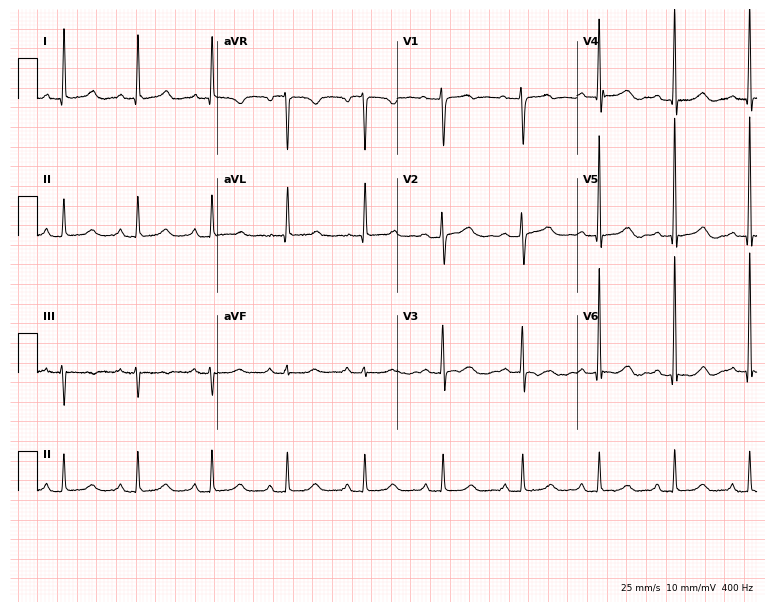
Electrocardiogram, a 52-year-old female patient. Overall reading on record: normal ECG.